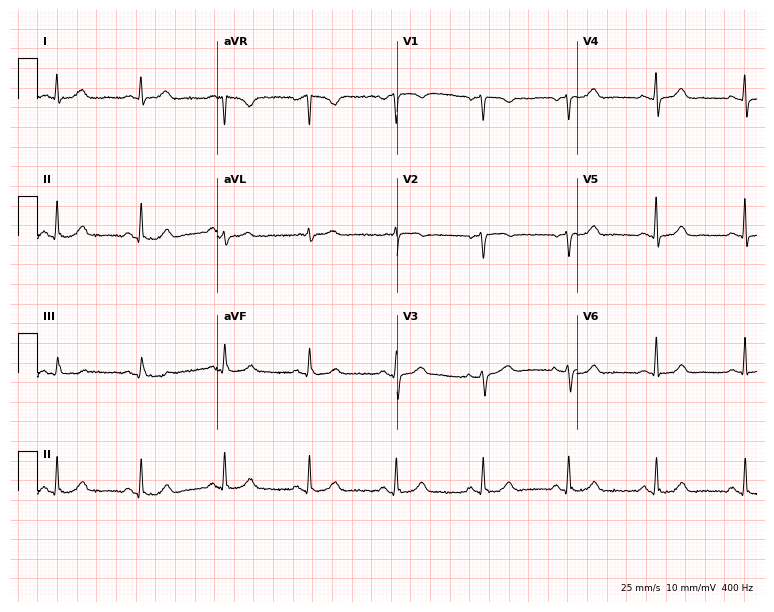
12-lead ECG from a 65-year-old female. Recorded interpretation: within normal limits.